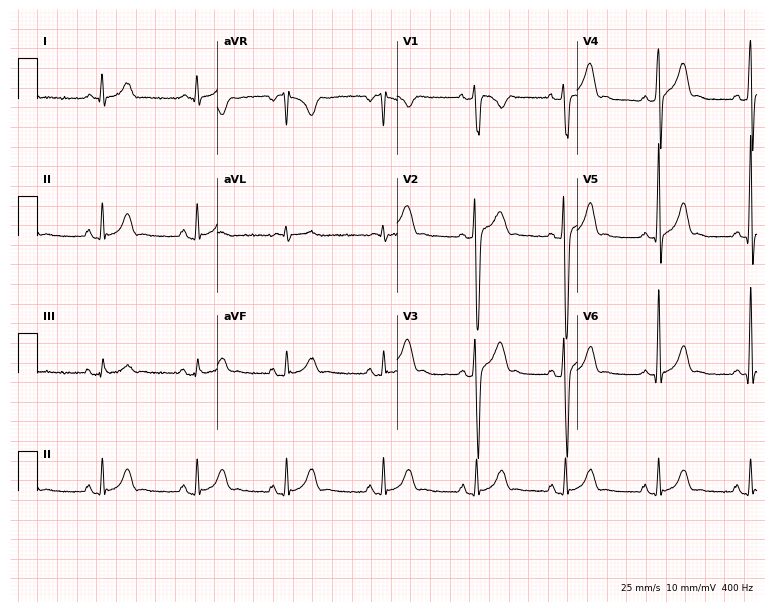
ECG (7.3-second recording at 400 Hz) — a 24-year-old male patient. Labelled as a normal ECG.